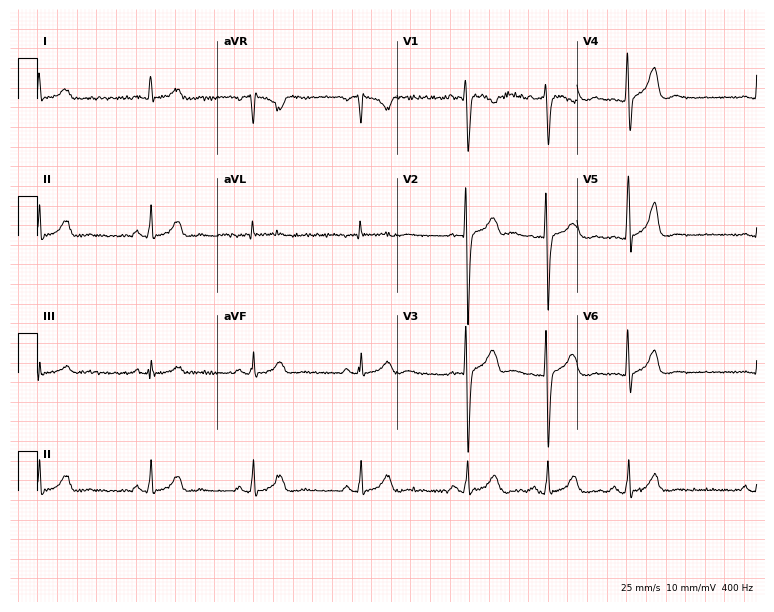
ECG — a 26-year-old man. Screened for six findings — first-degree AV block, right bundle branch block, left bundle branch block, sinus bradycardia, atrial fibrillation, sinus tachycardia — none is recorded. Only these six findings were labelled.